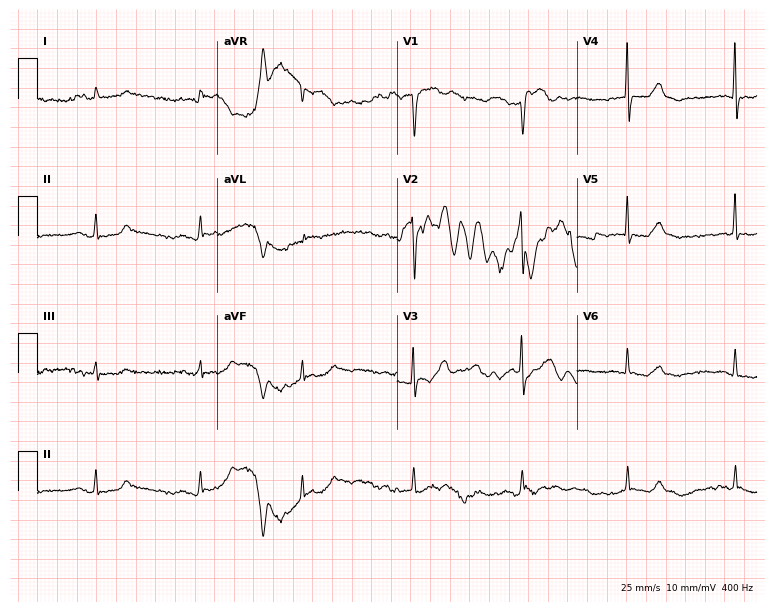
Standard 12-lead ECG recorded from a male patient, 72 years old. None of these six findings is recorded: first-degree AV block, right bundle branch block (RBBB), left bundle branch block (LBBB), sinus bradycardia, atrial fibrillation (AF), sinus tachycardia. Only these six findings were labelled.